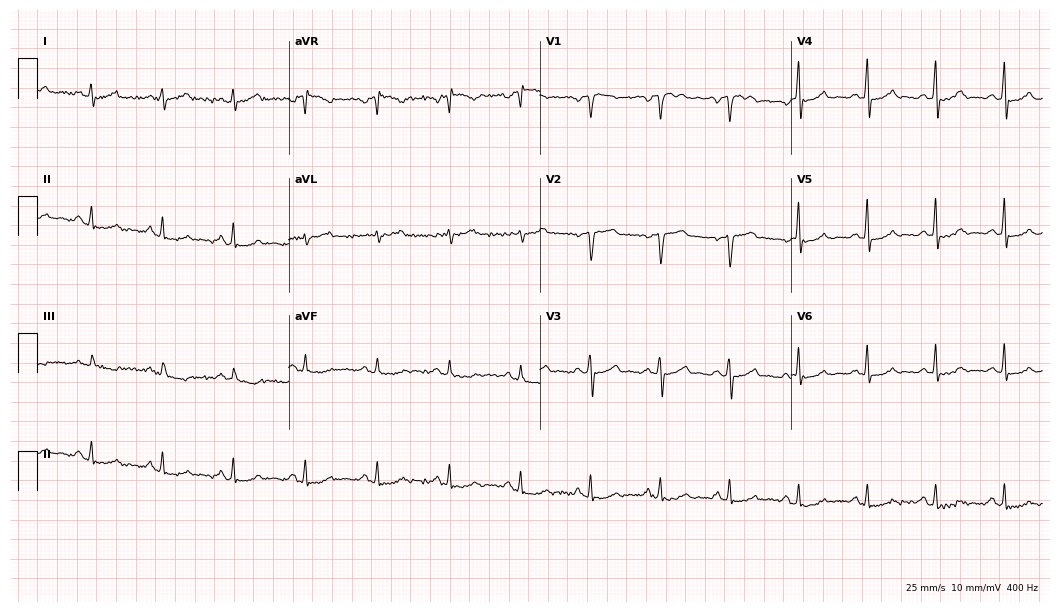
ECG (10.2-second recording at 400 Hz) — a 66-year-old male patient. Labelled as a normal ECG.